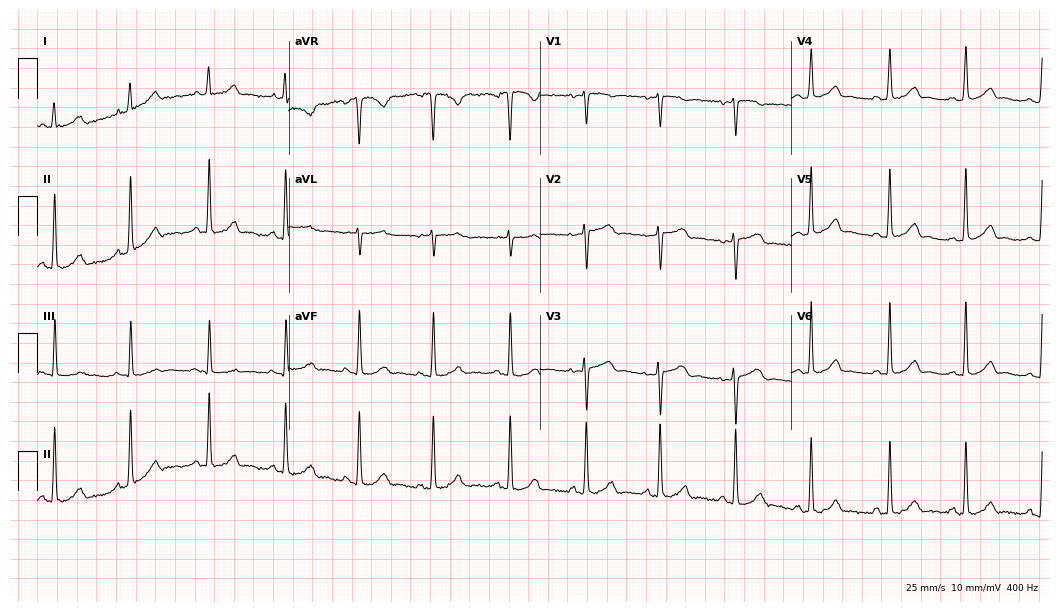
ECG (10.2-second recording at 400 Hz) — a 19-year-old woman. Labelled as a normal ECG.